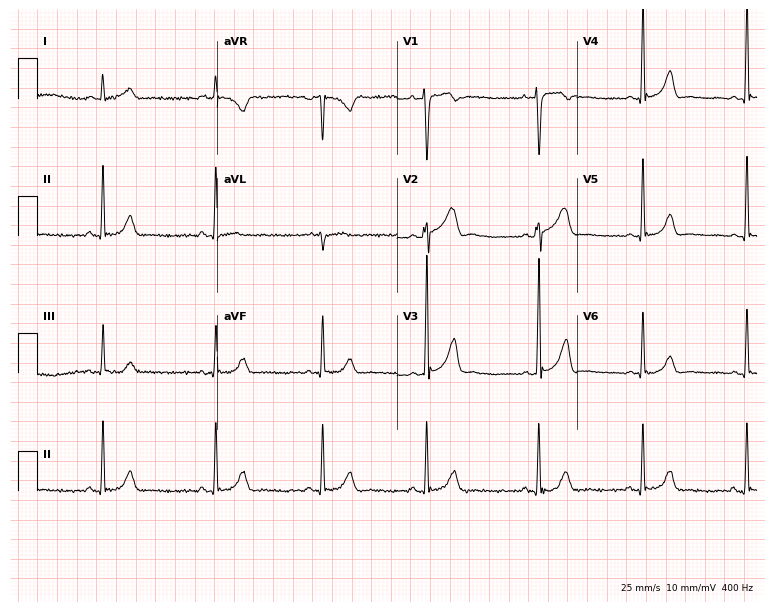
Electrocardiogram, a 33-year-old man. Of the six screened findings (first-degree AV block, right bundle branch block, left bundle branch block, sinus bradycardia, atrial fibrillation, sinus tachycardia), none is recorded. Other findings, if any, are not listed.